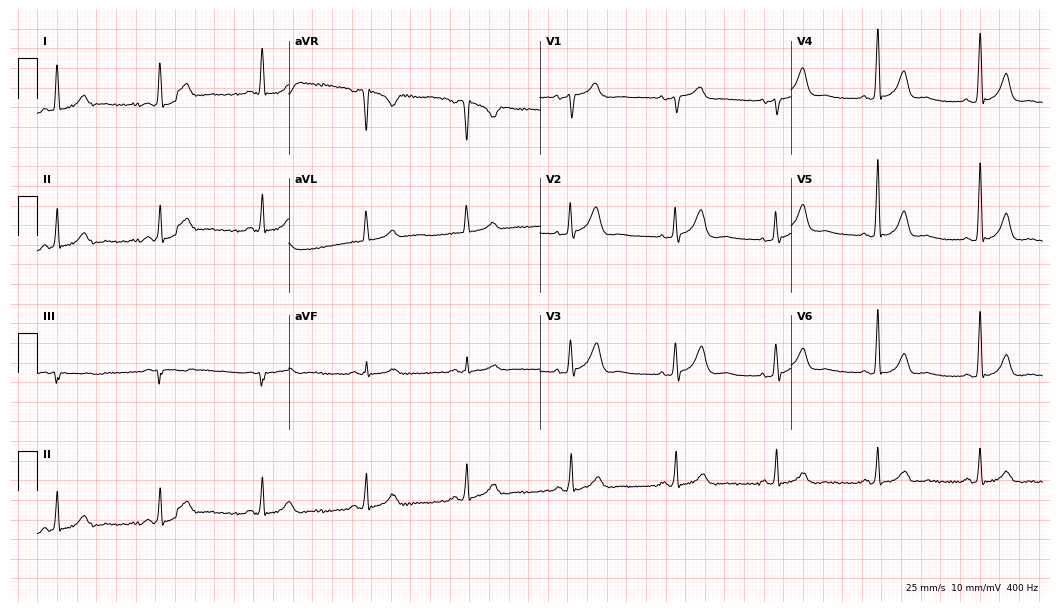
12-lead ECG from a woman, 53 years old. Recorded interpretation: within normal limits.